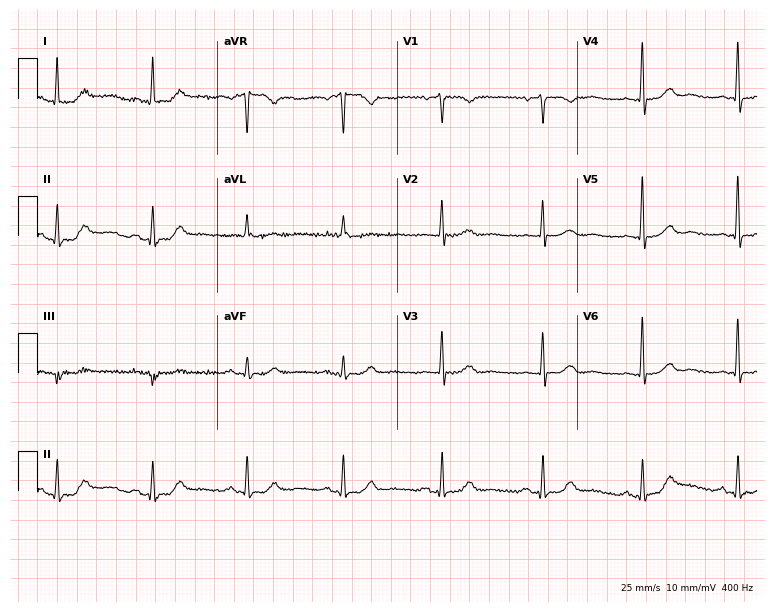
Electrocardiogram (7.3-second recording at 400 Hz), a female, 62 years old. Overall reading on record: normal ECG.